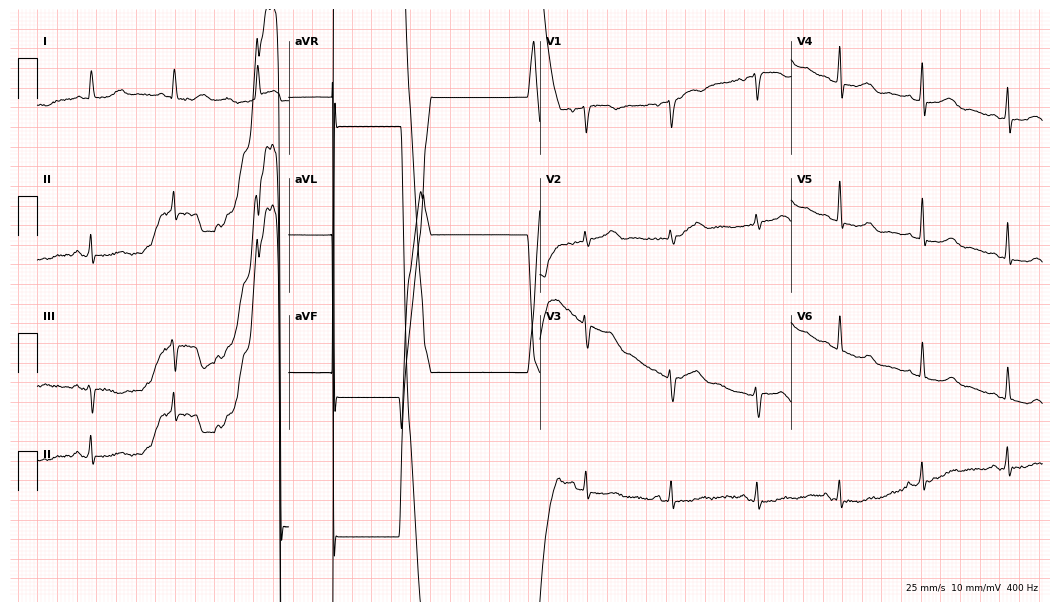
Standard 12-lead ECG recorded from a woman, 50 years old. None of these six findings is recorded: first-degree AV block, right bundle branch block, left bundle branch block, sinus bradycardia, atrial fibrillation, sinus tachycardia.